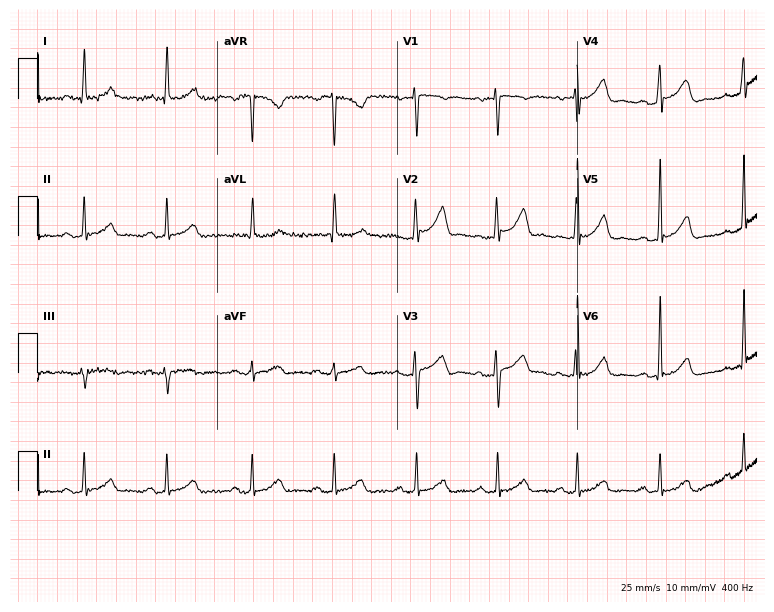
Resting 12-lead electrocardiogram. Patient: a 40-year-old male. Read as a normal ECG.